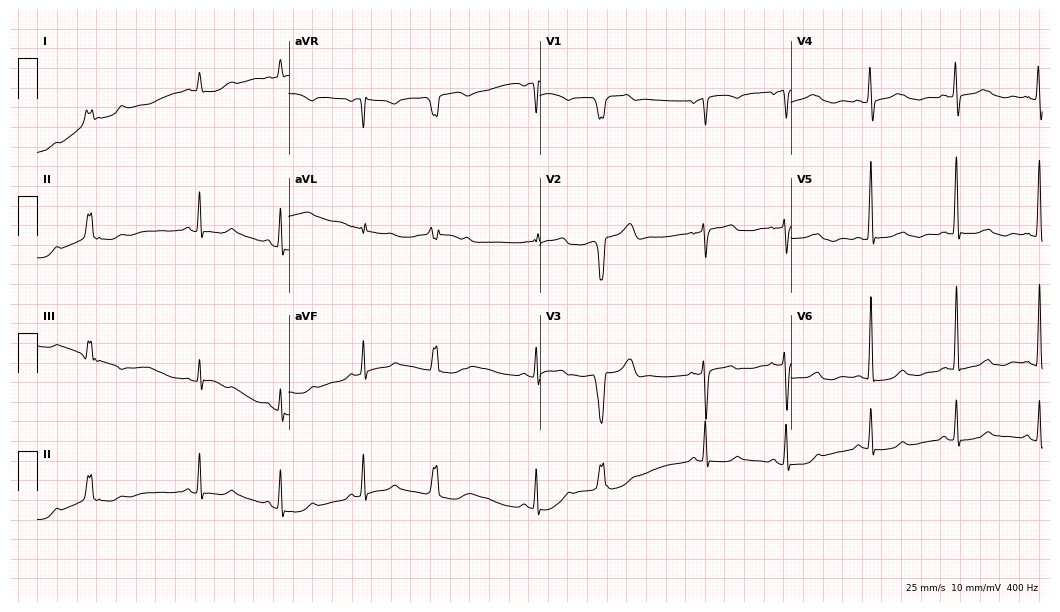
Electrocardiogram, a woman, 70 years old. Of the six screened findings (first-degree AV block, right bundle branch block (RBBB), left bundle branch block (LBBB), sinus bradycardia, atrial fibrillation (AF), sinus tachycardia), none is recorded. Other findings, if any, are not listed.